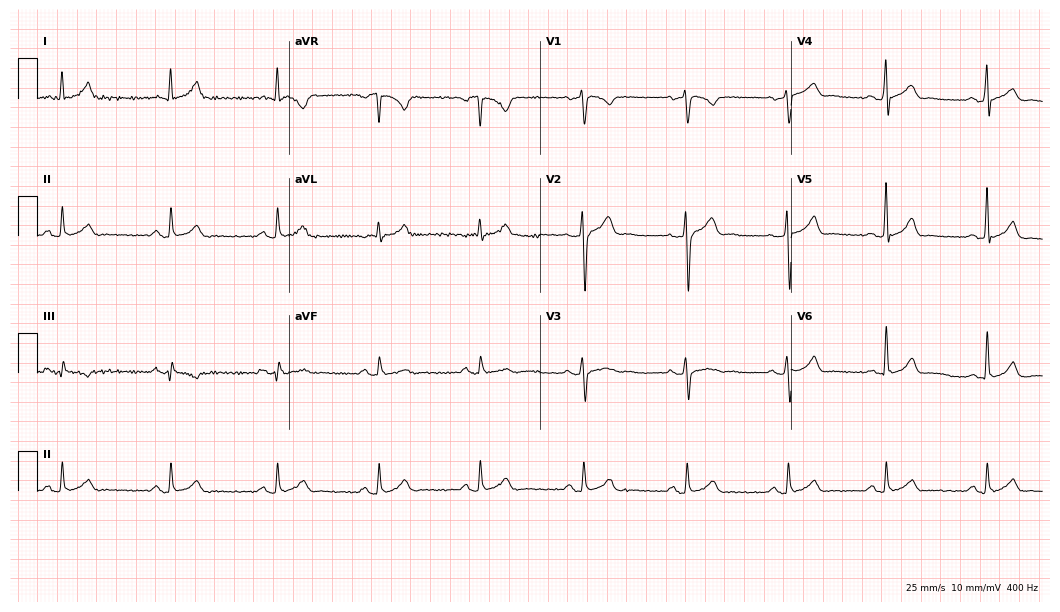
Electrocardiogram (10.2-second recording at 400 Hz), a male, 38 years old. Of the six screened findings (first-degree AV block, right bundle branch block, left bundle branch block, sinus bradycardia, atrial fibrillation, sinus tachycardia), none is recorded. Findings outside these six are not listed.